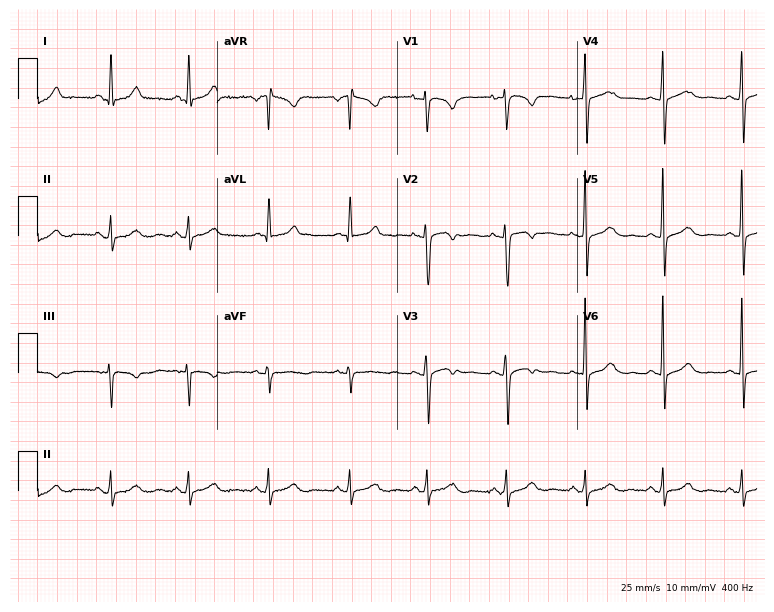
12-lead ECG (7.3-second recording at 400 Hz) from a 42-year-old female patient. Screened for six findings — first-degree AV block, right bundle branch block, left bundle branch block, sinus bradycardia, atrial fibrillation, sinus tachycardia — none is recorded. Other findings, if any, are not listed.